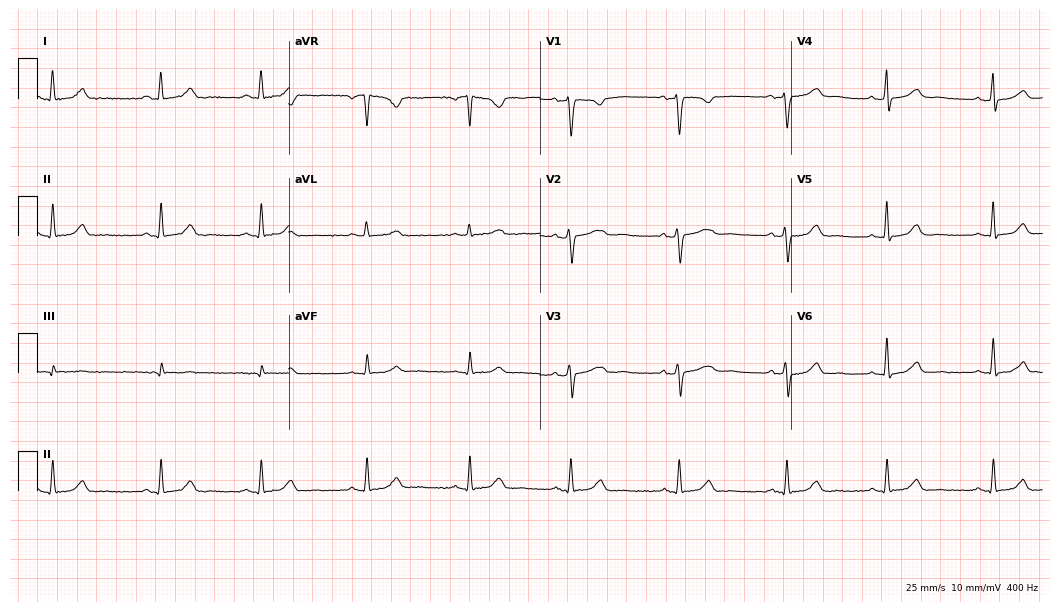
Standard 12-lead ECG recorded from a female, 39 years old. Read as a normal ECG.